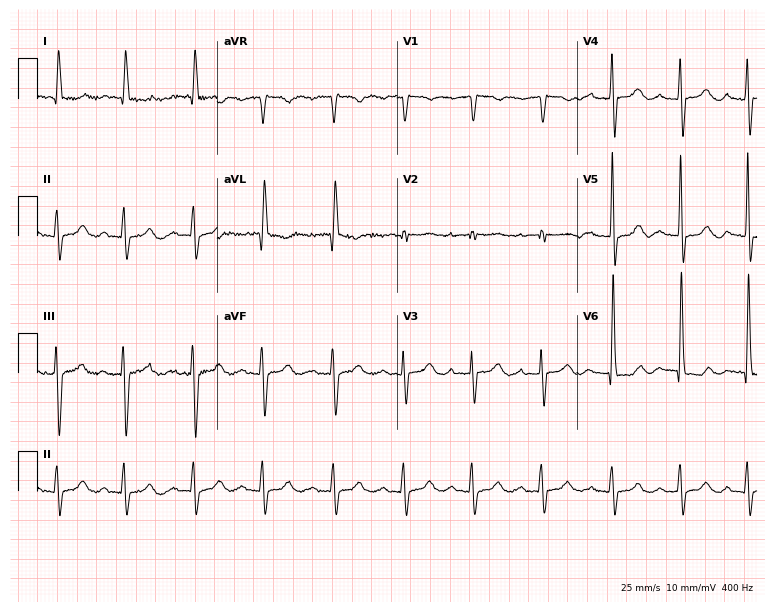
12-lead ECG from a female, 83 years old. Findings include first-degree AV block.